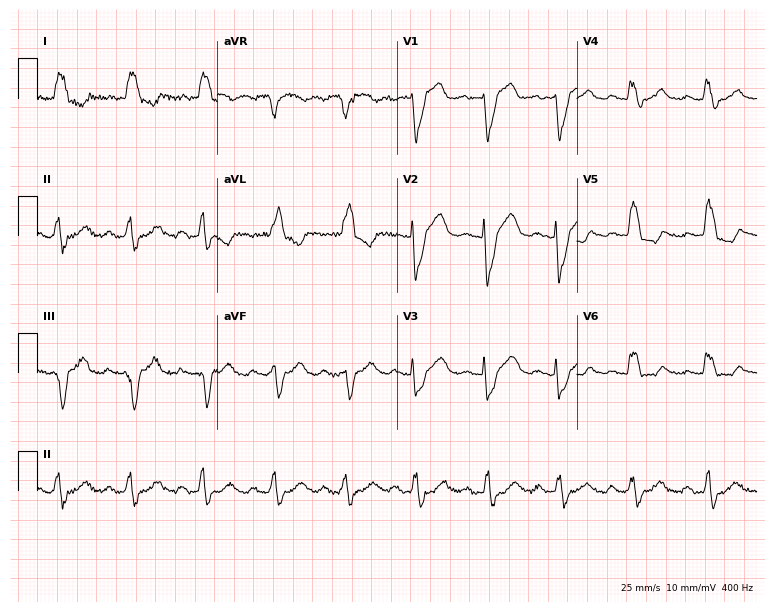
Resting 12-lead electrocardiogram (7.3-second recording at 400 Hz). Patient: a female, 80 years old. The tracing shows left bundle branch block.